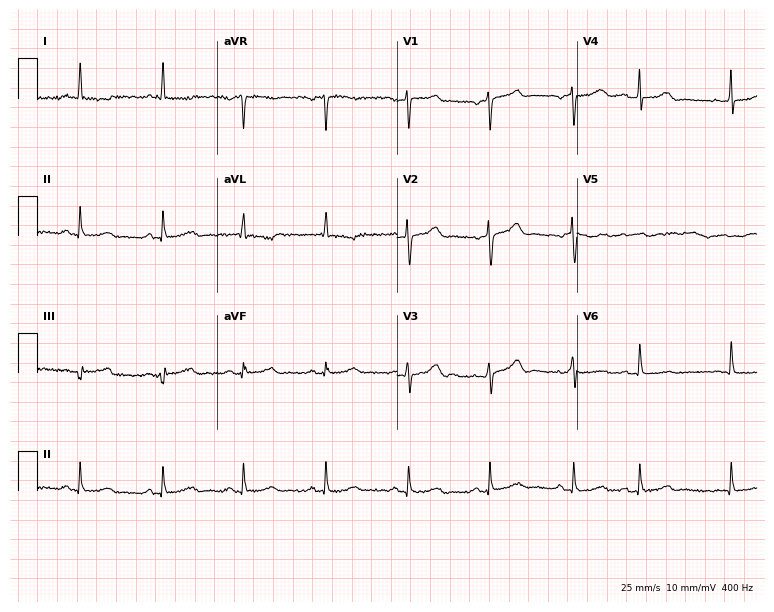
Electrocardiogram (7.3-second recording at 400 Hz), a 64-year-old female. Of the six screened findings (first-degree AV block, right bundle branch block, left bundle branch block, sinus bradycardia, atrial fibrillation, sinus tachycardia), none is recorded. Only these six findings were labelled.